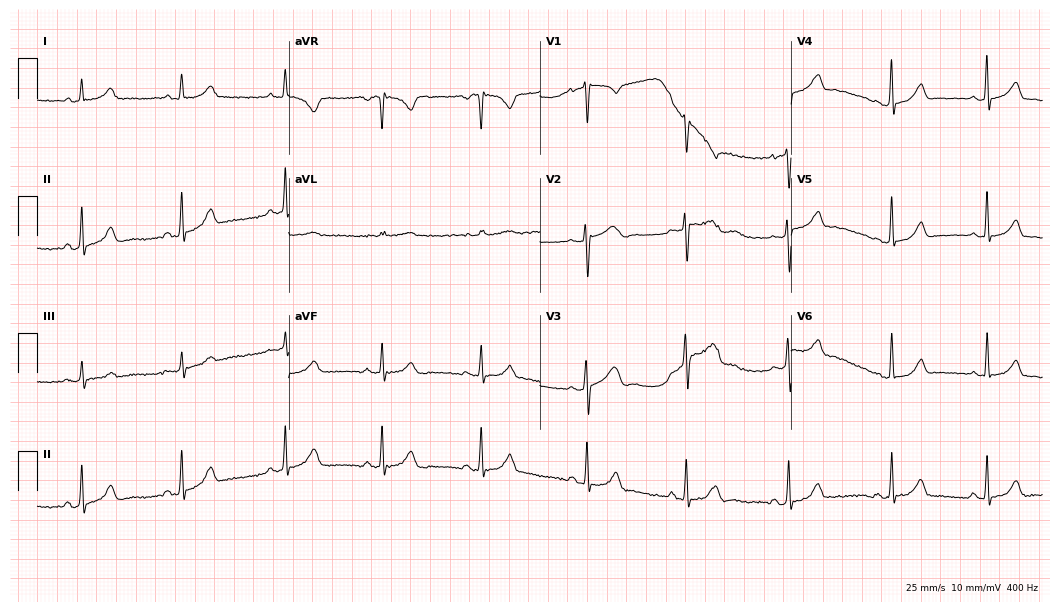
Electrocardiogram, a 25-year-old female patient. Of the six screened findings (first-degree AV block, right bundle branch block, left bundle branch block, sinus bradycardia, atrial fibrillation, sinus tachycardia), none is recorded. Other findings, if any, are not listed.